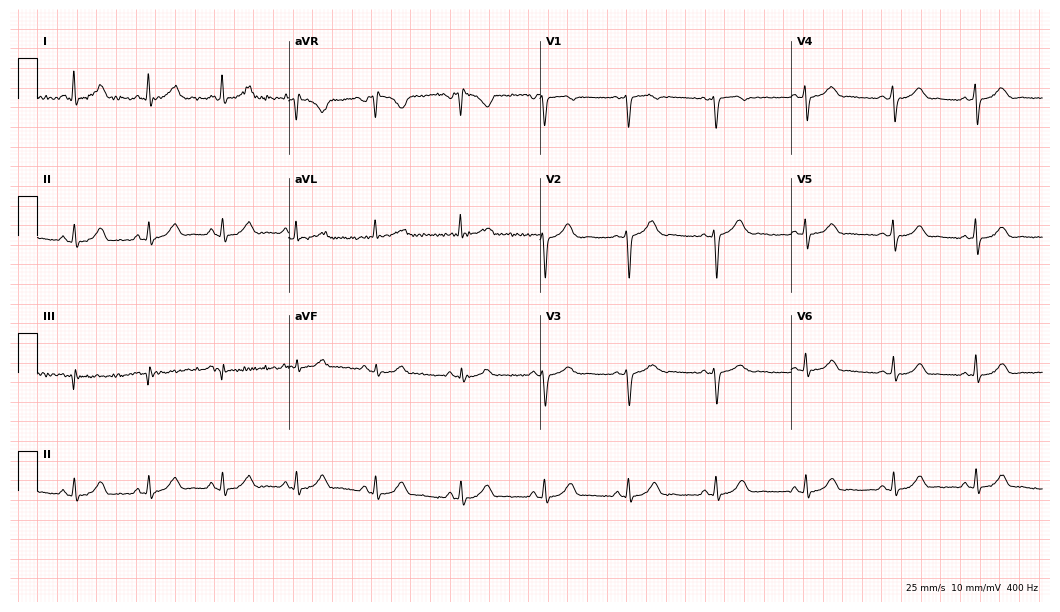
Resting 12-lead electrocardiogram. Patient: a 49-year-old female. Read as a normal ECG.